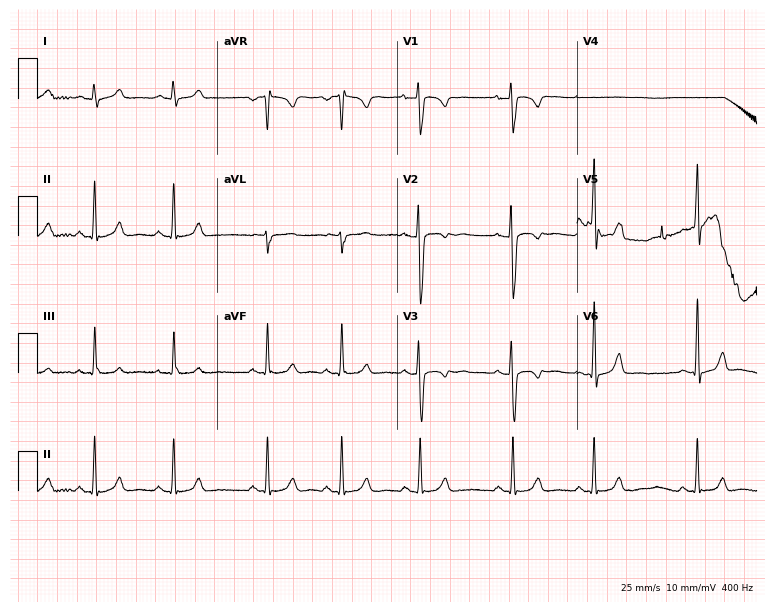
Standard 12-lead ECG recorded from a 21-year-old female. None of these six findings is recorded: first-degree AV block, right bundle branch block, left bundle branch block, sinus bradycardia, atrial fibrillation, sinus tachycardia.